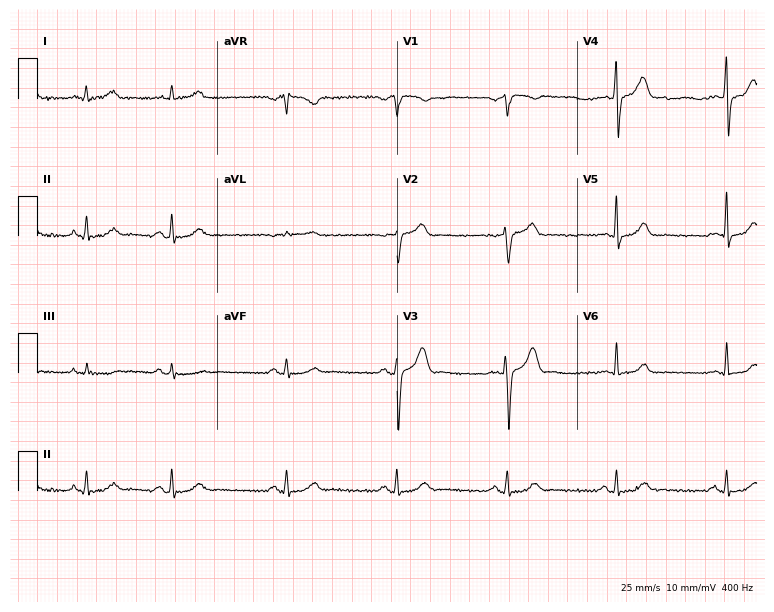
Standard 12-lead ECG recorded from a male, 40 years old (7.3-second recording at 400 Hz). Read as a normal ECG.